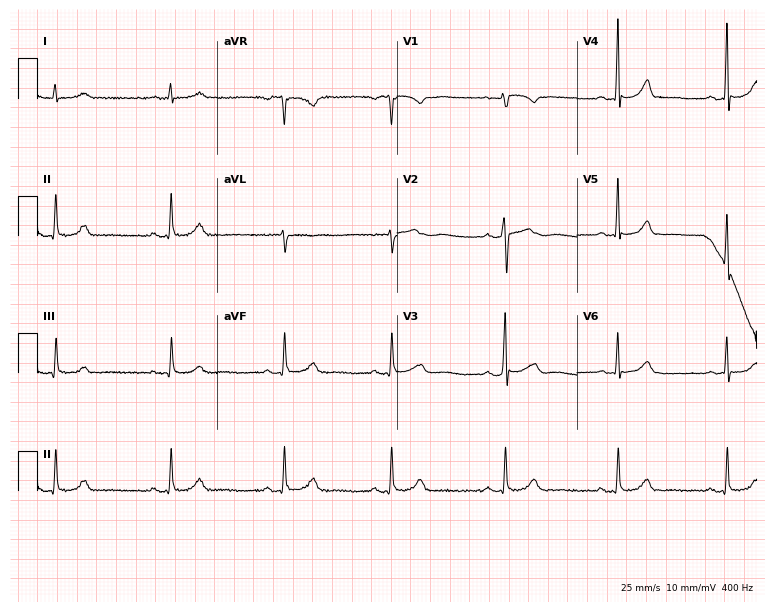
Electrocardiogram, a 55-year-old woman. Of the six screened findings (first-degree AV block, right bundle branch block (RBBB), left bundle branch block (LBBB), sinus bradycardia, atrial fibrillation (AF), sinus tachycardia), none is recorded.